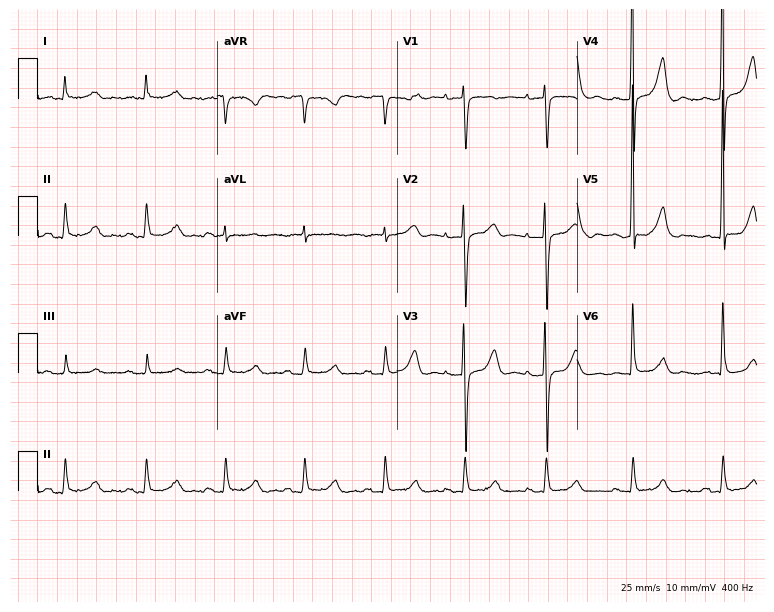
ECG — a man, 65 years old. Screened for six findings — first-degree AV block, right bundle branch block (RBBB), left bundle branch block (LBBB), sinus bradycardia, atrial fibrillation (AF), sinus tachycardia — none is recorded.